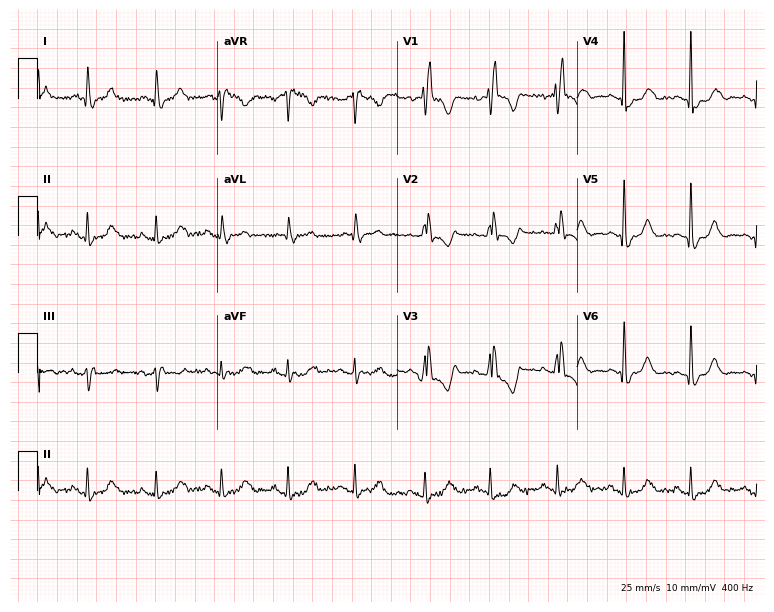
Standard 12-lead ECG recorded from an 82-year-old female patient (7.3-second recording at 400 Hz). The tracing shows right bundle branch block.